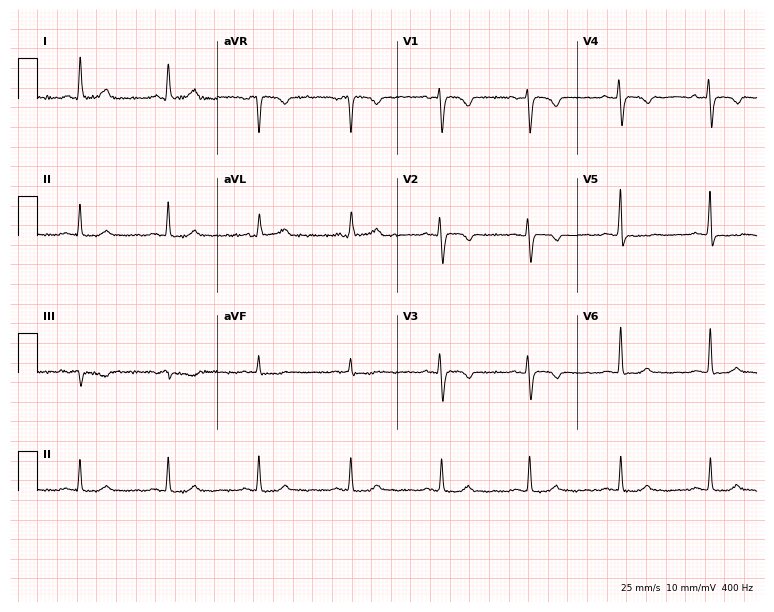
Electrocardiogram (7.3-second recording at 400 Hz), a female, 67 years old. Of the six screened findings (first-degree AV block, right bundle branch block, left bundle branch block, sinus bradycardia, atrial fibrillation, sinus tachycardia), none is recorded. Findings outside these six are not listed.